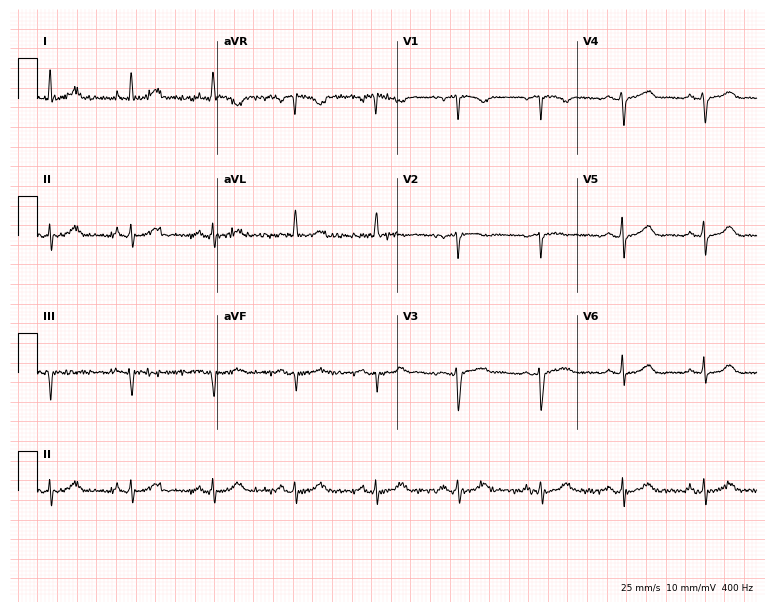
12-lead ECG from a female, 60 years old. No first-degree AV block, right bundle branch block, left bundle branch block, sinus bradycardia, atrial fibrillation or sinus tachycardia recorded for this tracing.